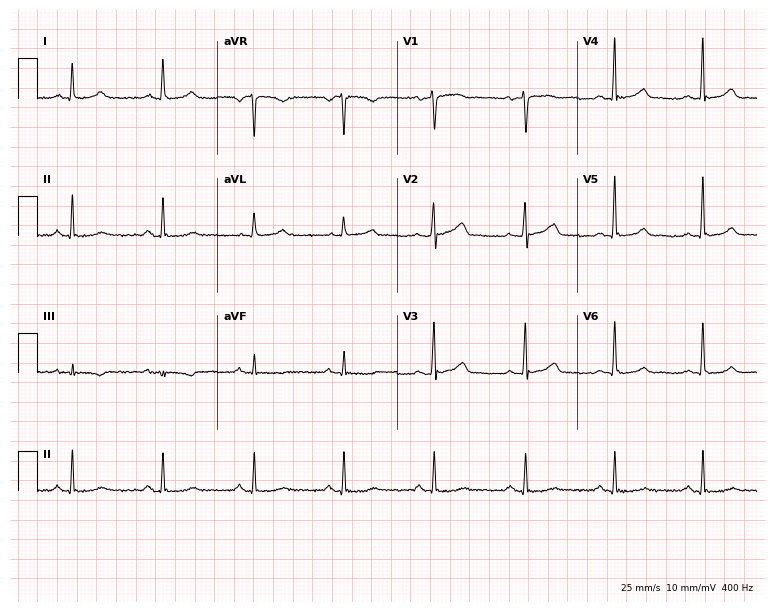
Resting 12-lead electrocardiogram (7.3-second recording at 400 Hz). Patient: a male, 60 years old. None of these six findings is recorded: first-degree AV block, right bundle branch block, left bundle branch block, sinus bradycardia, atrial fibrillation, sinus tachycardia.